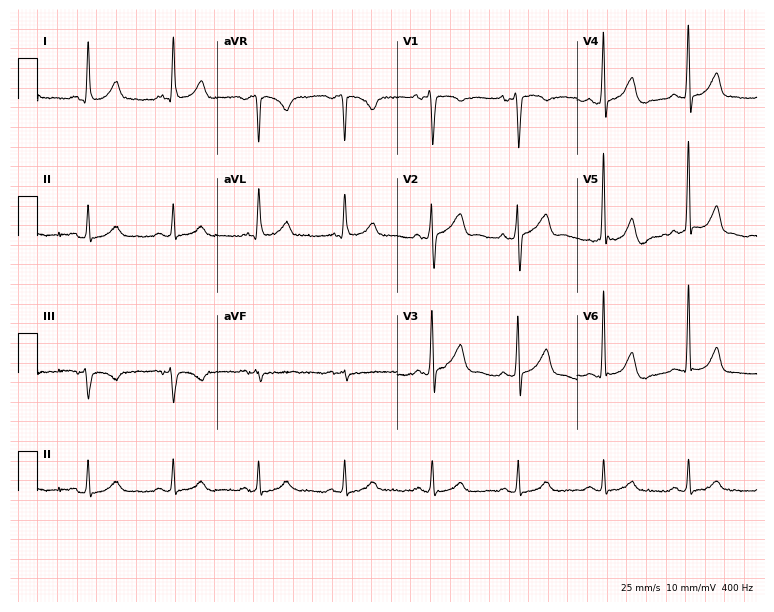
12-lead ECG from a 54-year-old male patient (7.3-second recording at 400 Hz). Recorded interpretation: within normal limits.